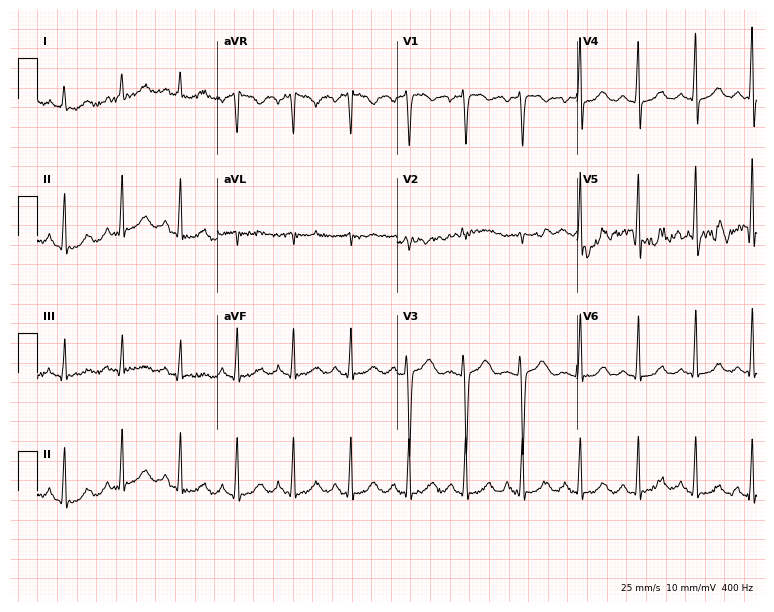
Resting 12-lead electrocardiogram (7.3-second recording at 400 Hz). Patient: a woman, 31 years old. The tracing shows sinus tachycardia (a sinus rate of 100 beats per minute or more).